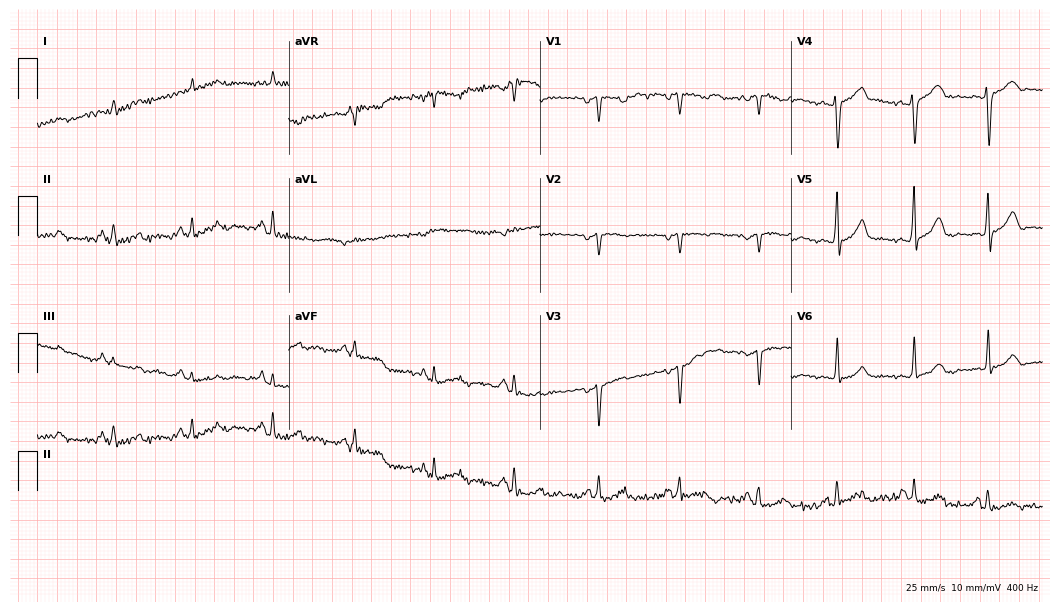
12-lead ECG from a 72-year-old male patient. No first-degree AV block, right bundle branch block (RBBB), left bundle branch block (LBBB), sinus bradycardia, atrial fibrillation (AF) or sinus tachycardia recorded for this tracing. Findings outside these six are not listed.